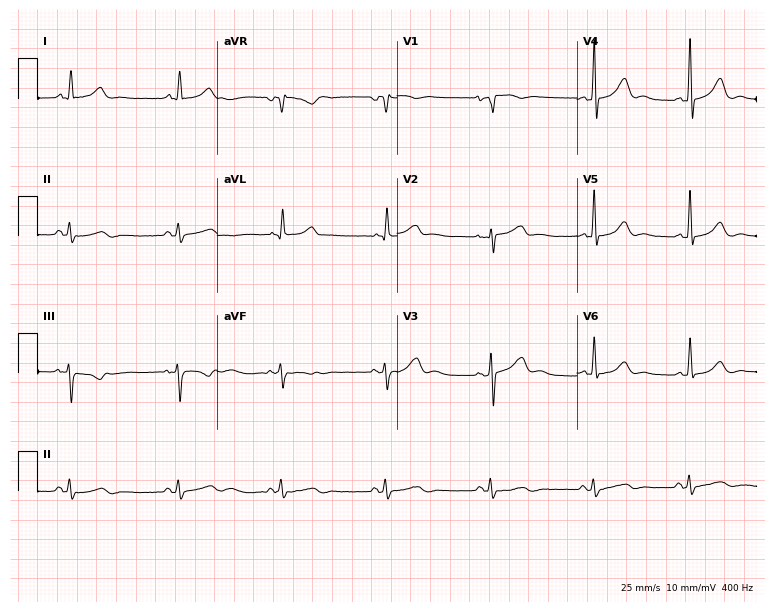
Electrocardiogram (7.3-second recording at 400 Hz), a woman, 44 years old. Of the six screened findings (first-degree AV block, right bundle branch block, left bundle branch block, sinus bradycardia, atrial fibrillation, sinus tachycardia), none is recorded.